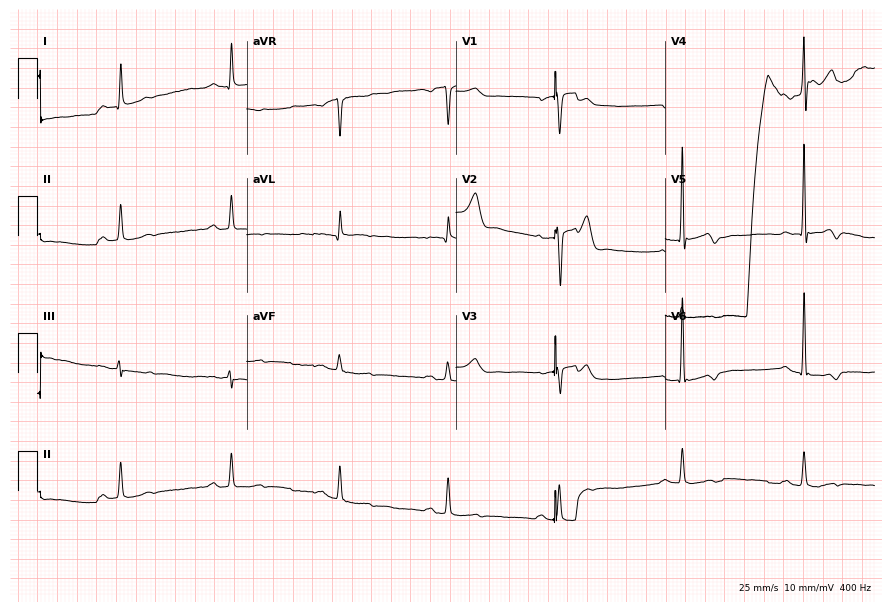
12-lead ECG from a male patient, 72 years old. No first-degree AV block, right bundle branch block, left bundle branch block, sinus bradycardia, atrial fibrillation or sinus tachycardia recorded for this tracing.